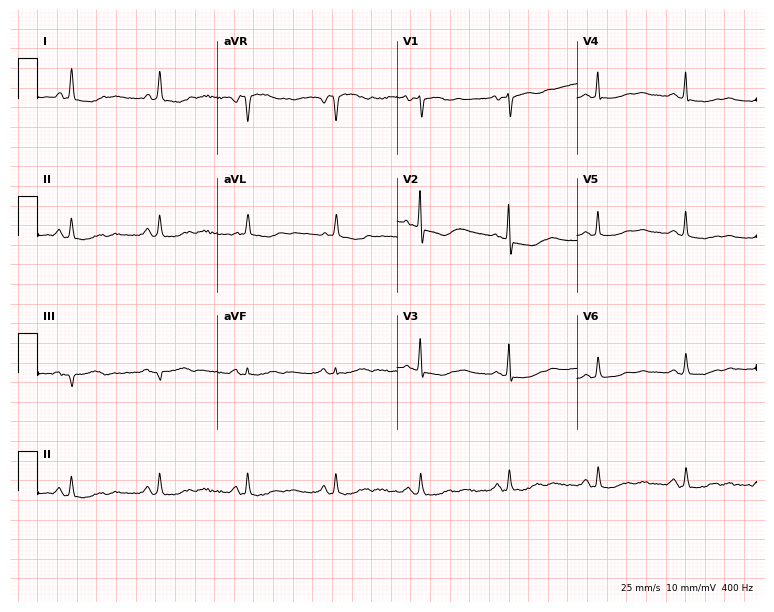
12-lead ECG from a 67-year-old woman (7.3-second recording at 400 Hz). No first-degree AV block, right bundle branch block, left bundle branch block, sinus bradycardia, atrial fibrillation or sinus tachycardia recorded for this tracing. Only these six findings were labelled.